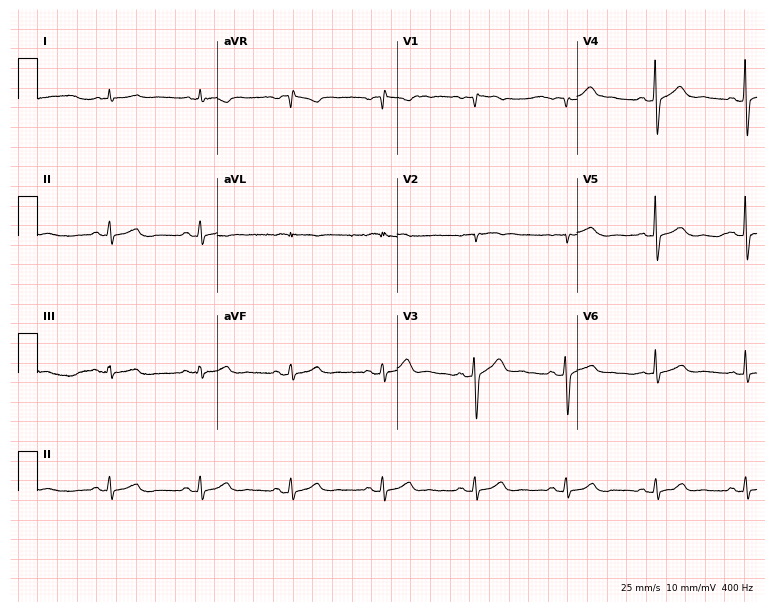
ECG — a man, 73 years old. Screened for six findings — first-degree AV block, right bundle branch block, left bundle branch block, sinus bradycardia, atrial fibrillation, sinus tachycardia — none is recorded. Other findings, if any, are not listed.